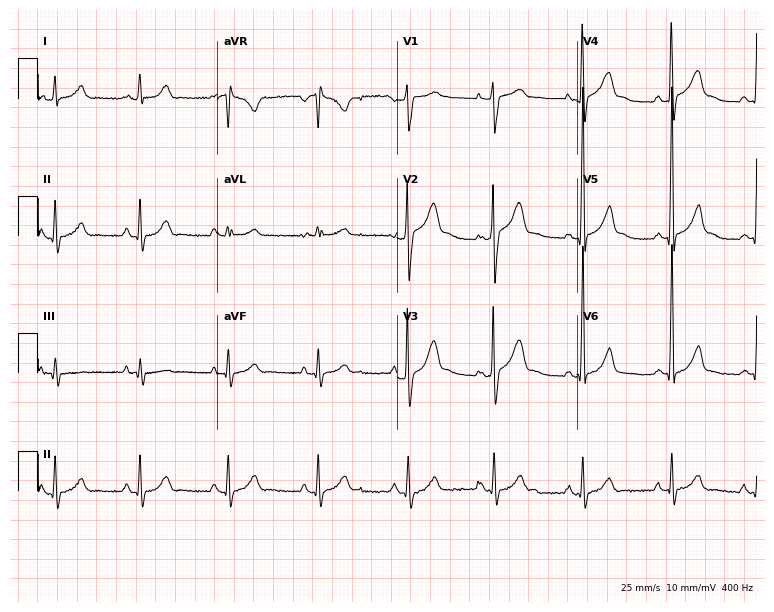
ECG (7.3-second recording at 400 Hz) — an 84-year-old male. Screened for six findings — first-degree AV block, right bundle branch block, left bundle branch block, sinus bradycardia, atrial fibrillation, sinus tachycardia — none is recorded. Findings outside these six are not listed.